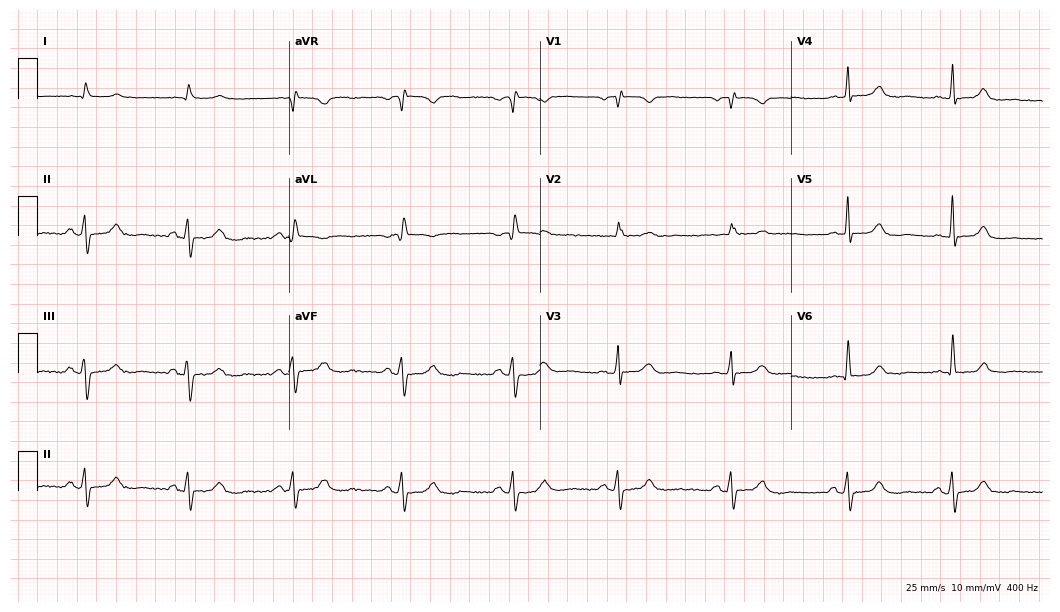
12-lead ECG (10.2-second recording at 400 Hz) from an 85-year-old man. Screened for six findings — first-degree AV block, right bundle branch block, left bundle branch block, sinus bradycardia, atrial fibrillation, sinus tachycardia — none is recorded.